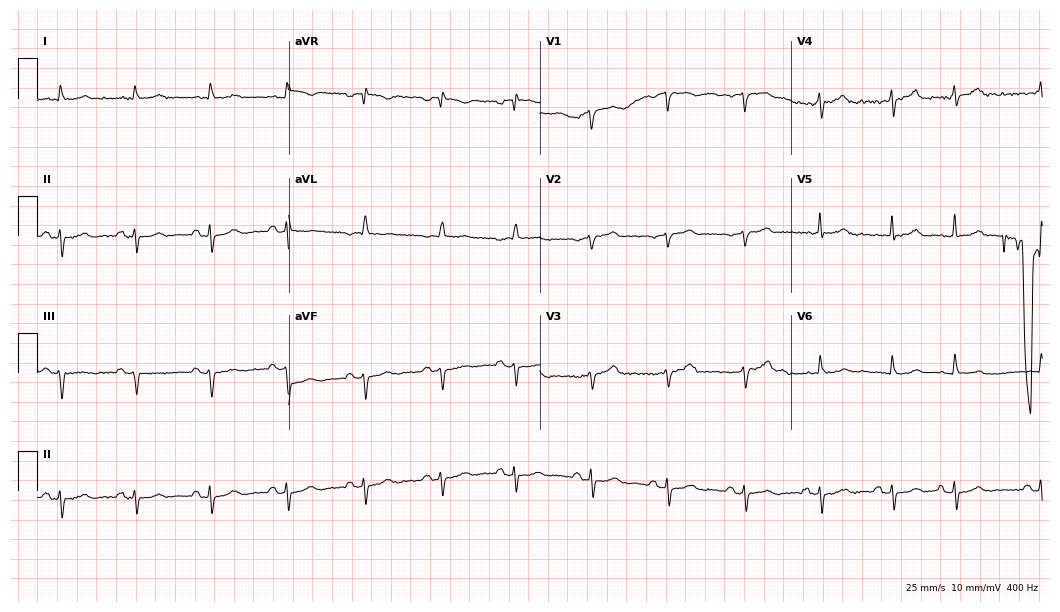
ECG (10.2-second recording at 400 Hz) — a male, 83 years old. Labelled as a normal ECG.